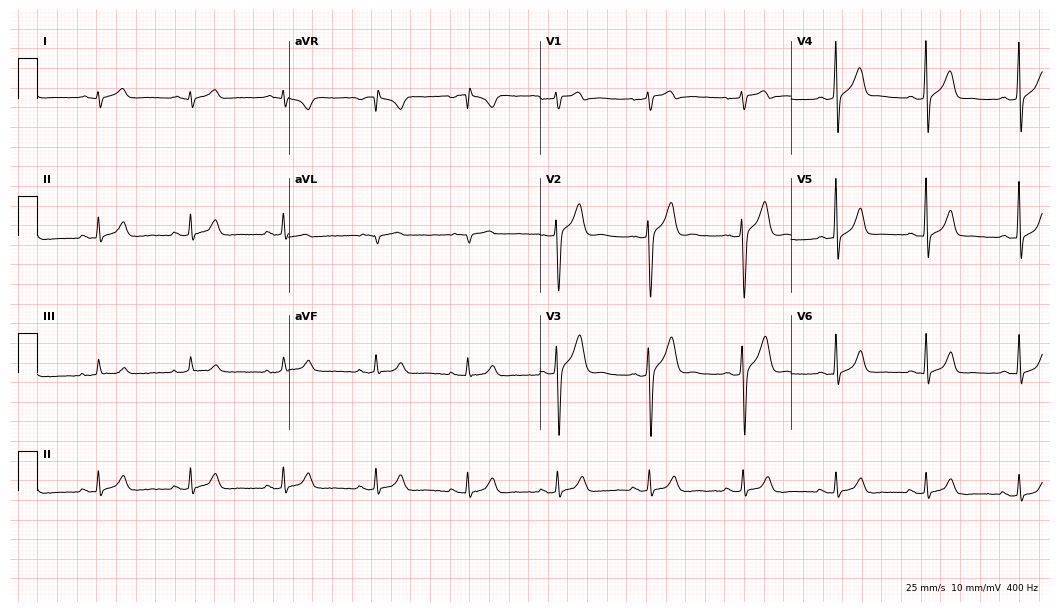
12-lead ECG (10.2-second recording at 400 Hz) from a man, 26 years old. Screened for six findings — first-degree AV block, right bundle branch block, left bundle branch block, sinus bradycardia, atrial fibrillation, sinus tachycardia — none is recorded.